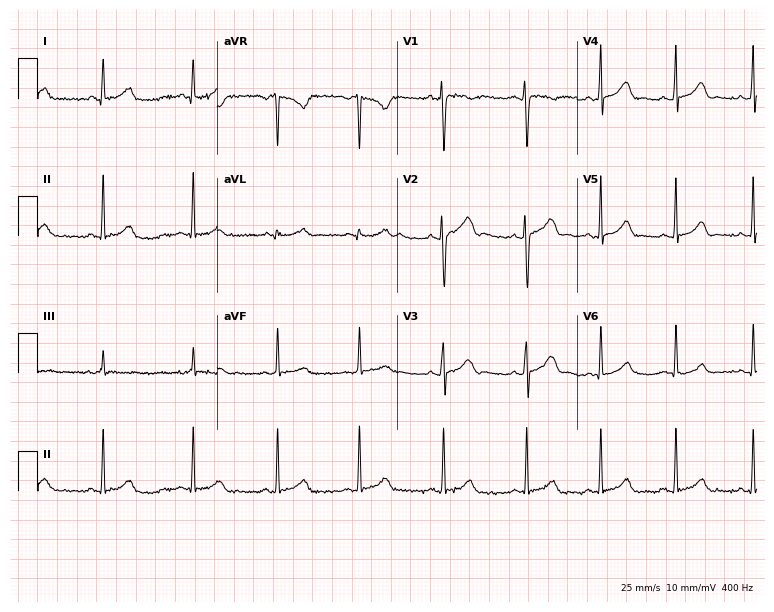
ECG (7.3-second recording at 400 Hz) — a female, 19 years old. Screened for six findings — first-degree AV block, right bundle branch block, left bundle branch block, sinus bradycardia, atrial fibrillation, sinus tachycardia — none is recorded.